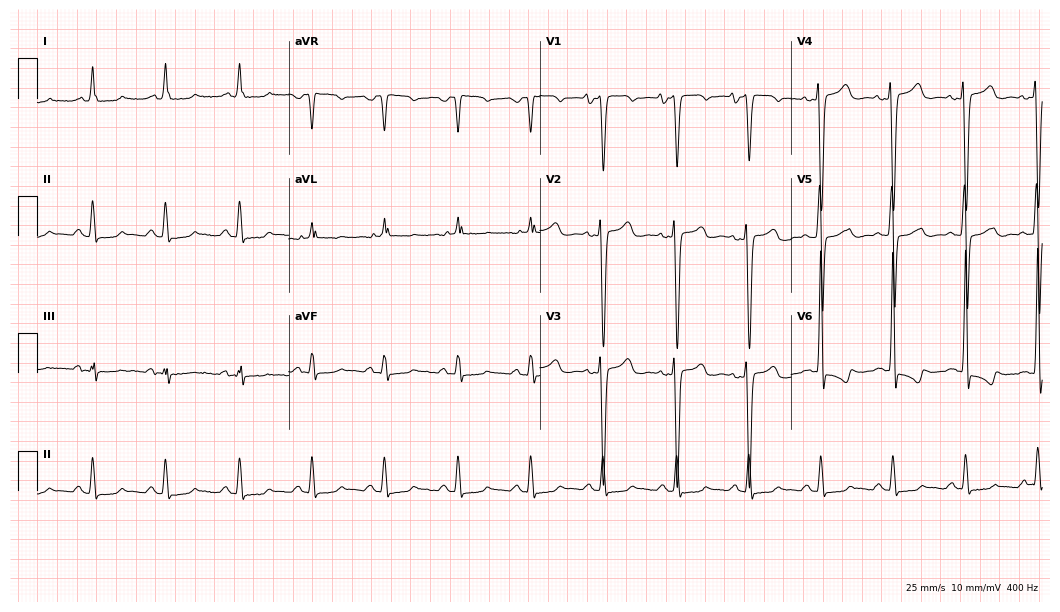
12-lead ECG from a man, 35 years old. No first-degree AV block, right bundle branch block (RBBB), left bundle branch block (LBBB), sinus bradycardia, atrial fibrillation (AF) or sinus tachycardia recorded for this tracing. Only these six findings were labelled.